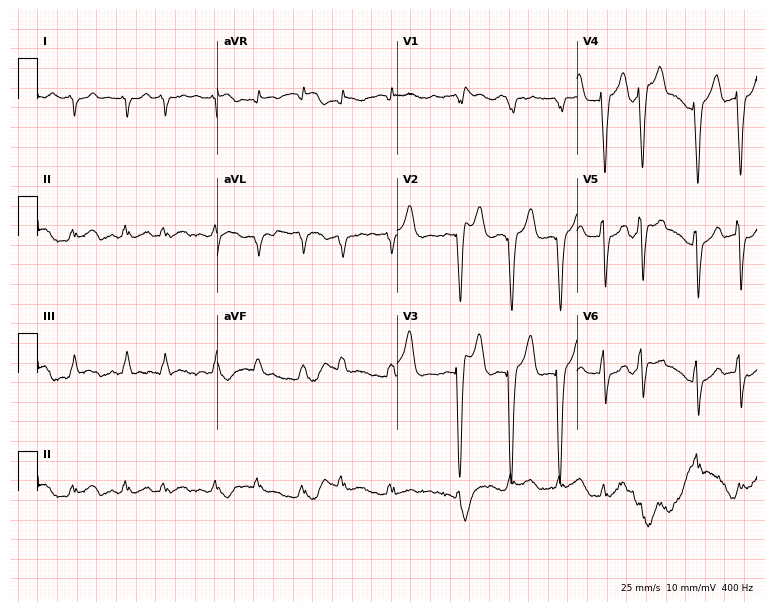
12-lead ECG from a man, 79 years old (7.3-second recording at 400 Hz). Shows atrial fibrillation.